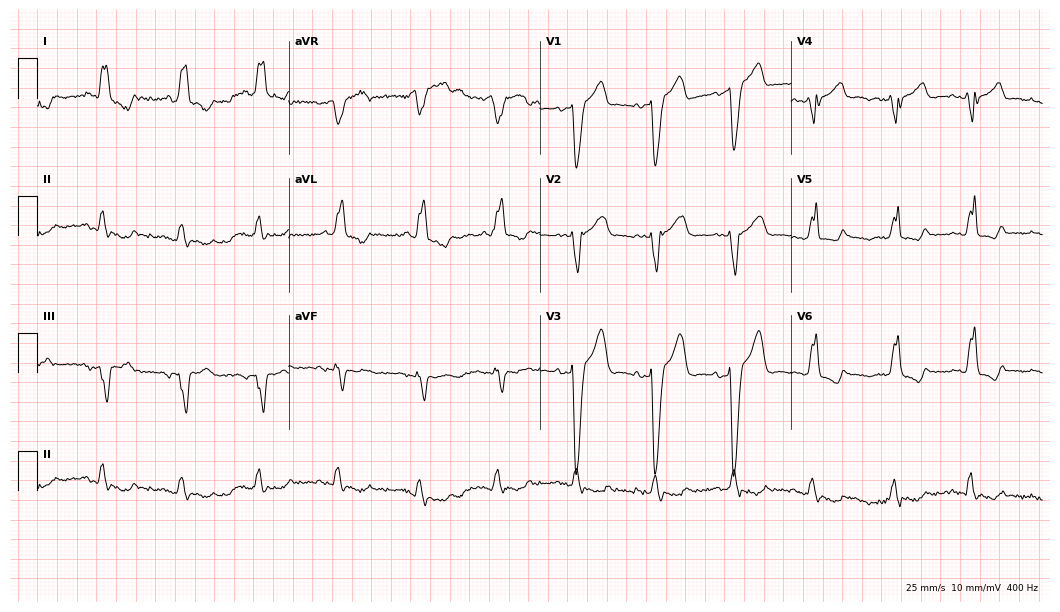
Resting 12-lead electrocardiogram (10.2-second recording at 400 Hz). Patient: a 79-year-old male. The tracing shows left bundle branch block.